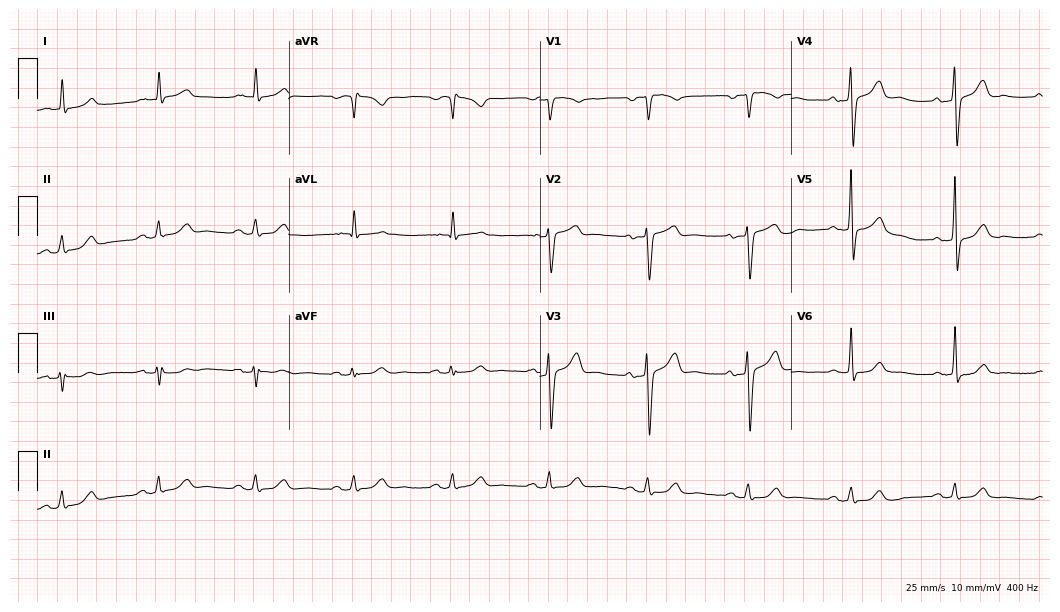
Standard 12-lead ECG recorded from a 75-year-old male. Read as a normal ECG.